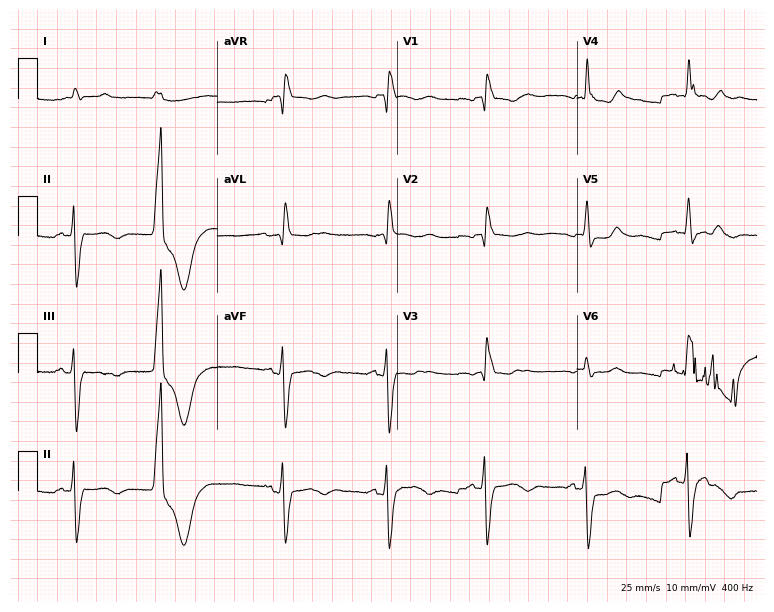
ECG (7.3-second recording at 400 Hz) — a 79-year-old male patient. Findings include right bundle branch block.